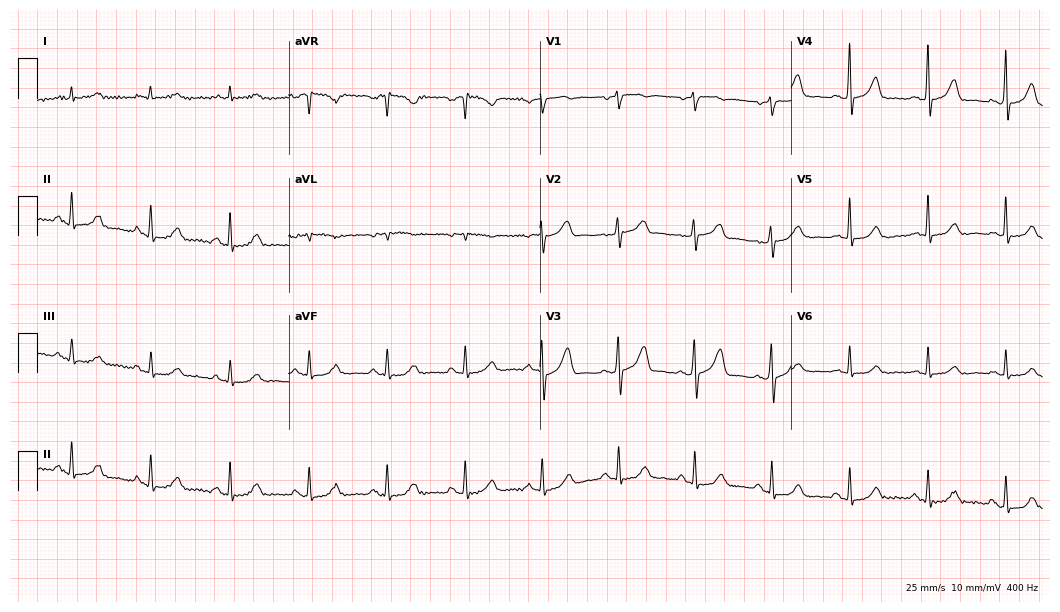
12-lead ECG from a 78-year-old male patient. Recorded interpretation: within normal limits.